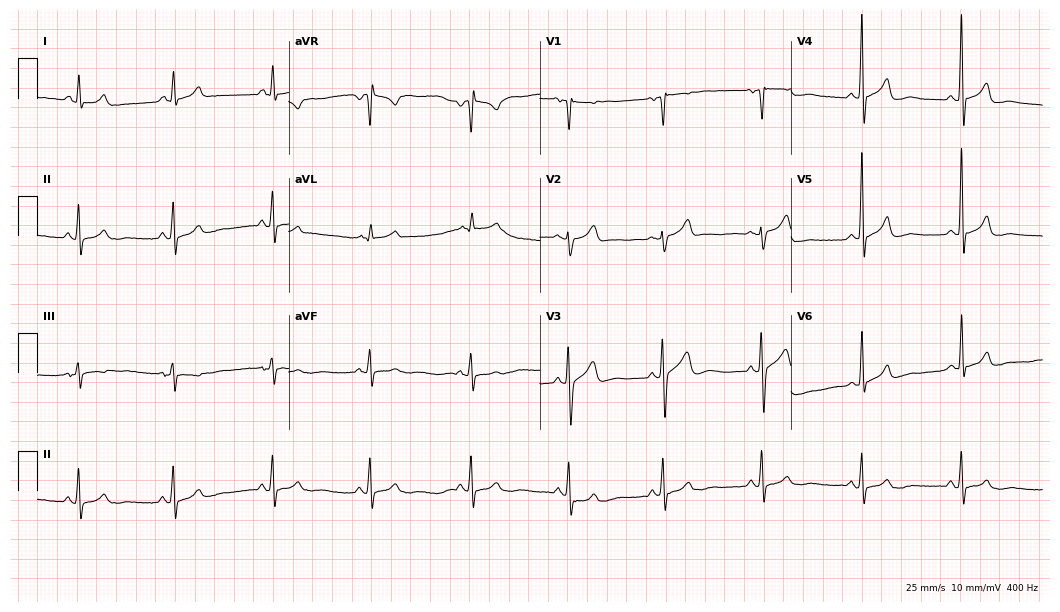
Resting 12-lead electrocardiogram. Patient: a male, 58 years old. None of these six findings is recorded: first-degree AV block, right bundle branch block (RBBB), left bundle branch block (LBBB), sinus bradycardia, atrial fibrillation (AF), sinus tachycardia. Other findings, if any, are not listed.